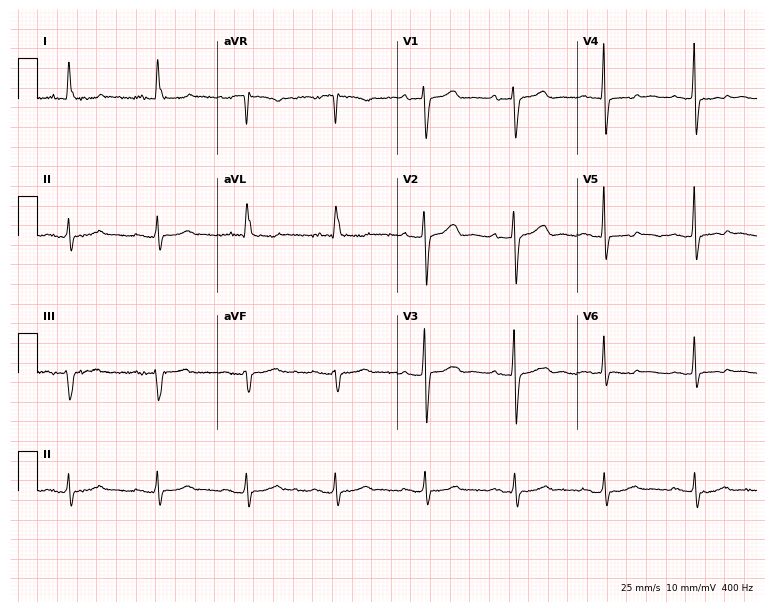
Resting 12-lead electrocardiogram (7.3-second recording at 400 Hz). Patient: a female, 65 years old. None of these six findings is recorded: first-degree AV block, right bundle branch block, left bundle branch block, sinus bradycardia, atrial fibrillation, sinus tachycardia. Only these six findings were labelled.